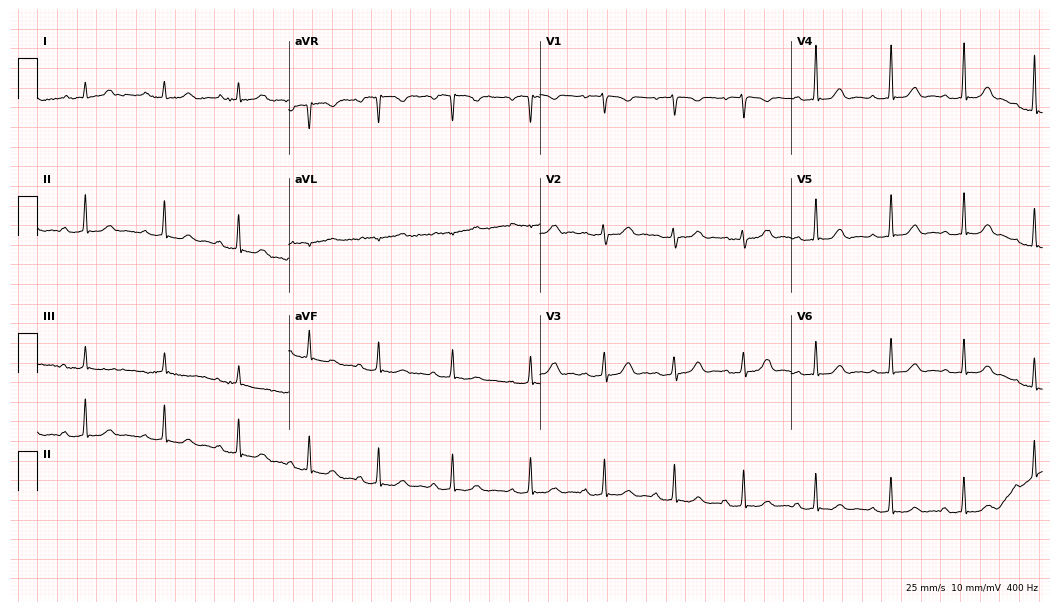
12-lead ECG from a woman, 23 years old. Recorded interpretation: within normal limits.